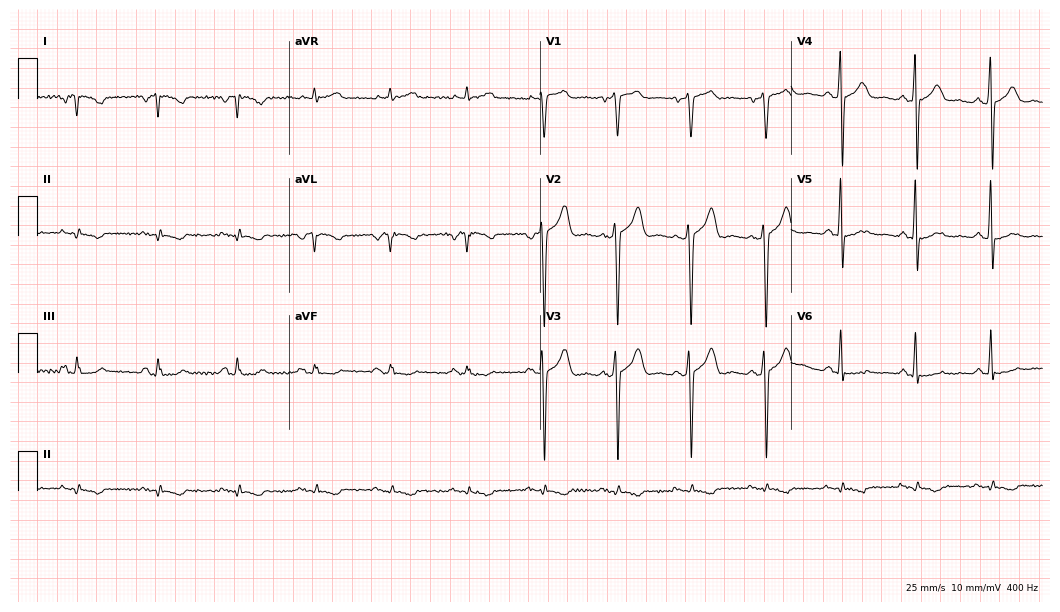
Resting 12-lead electrocardiogram (10.2-second recording at 400 Hz). Patient: a 60-year-old male. Read as a normal ECG.